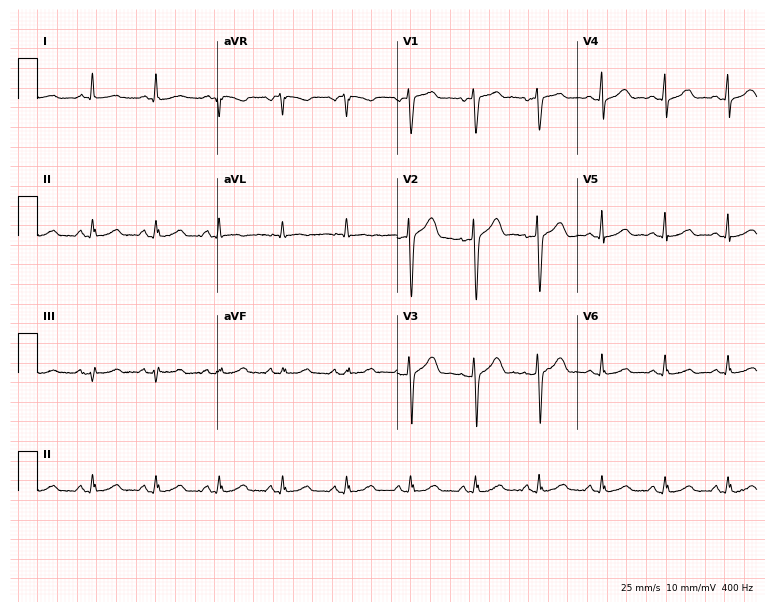
Resting 12-lead electrocardiogram. Patient: a 46-year-old man. None of these six findings is recorded: first-degree AV block, right bundle branch block (RBBB), left bundle branch block (LBBB), sinus bradycardia, atrial fibrillation (AF), sinus tachycardia. Findings outside these six are not listed.